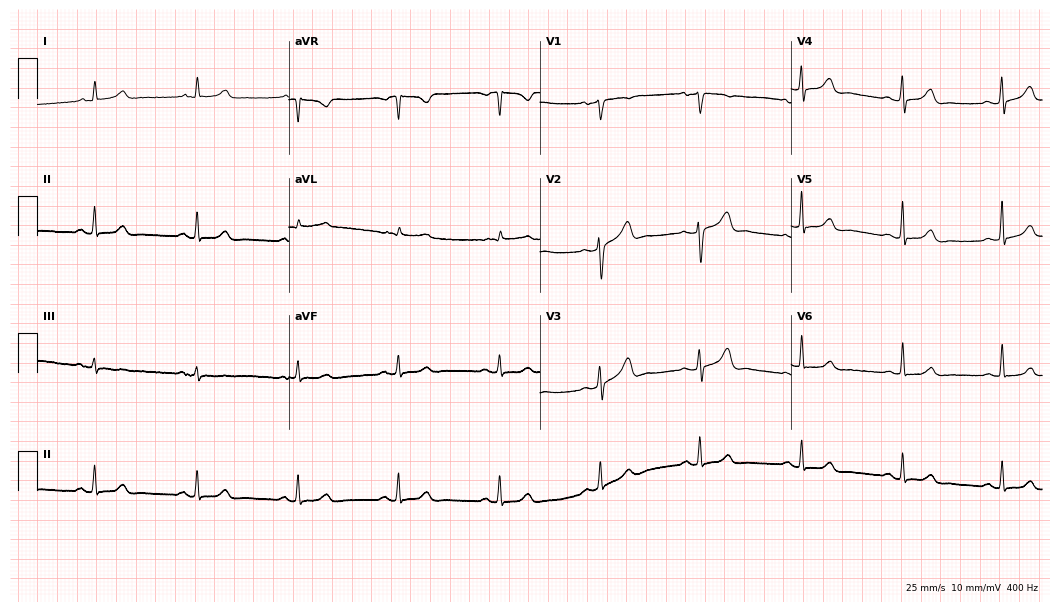
ECG (10.2-second recording at 400 Hz) — a 76-year-old male patient. Labelled as a normal ECG.